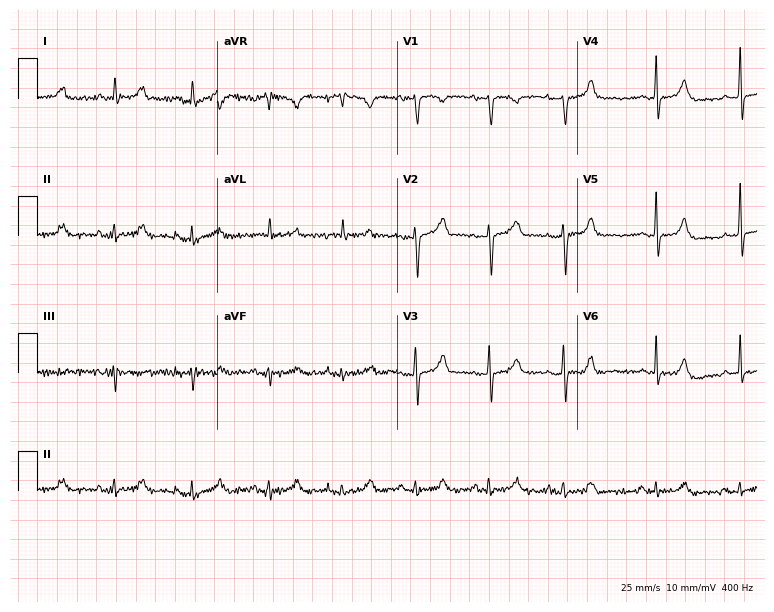
12-lead ECG (7.3-second recording at 400 Hz) from a female, 78 years old. Screened for six findings — first-degree AV block, right bundle branch block (RBBB), left bundle branch block (LBBB), sinus bradycardia, atrial fibrillation (AF), sinus tachycardia — none is recorded. Only these six findings were labelled.